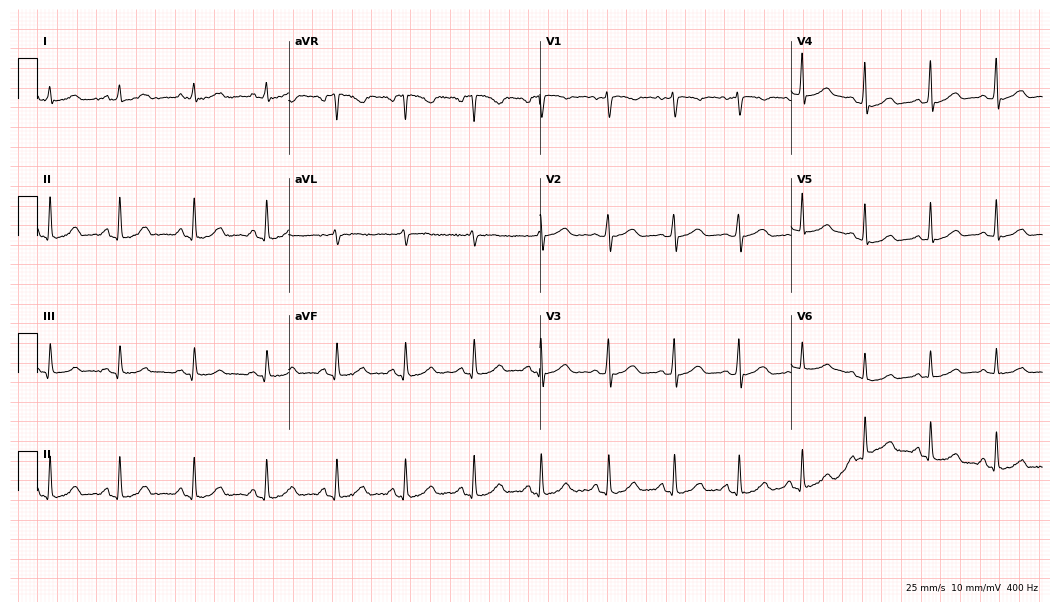
Standard 12-lead ECG recorded from a female patient, 58 years old. None of these six findings is recorded: first-degree AV block, right bundle branch block (RBBB), left bundle branch block (LBBB), sinus bradycardia, atrial fibrillation (AF), sinus tachycardia. Findings outside these six are not listed.